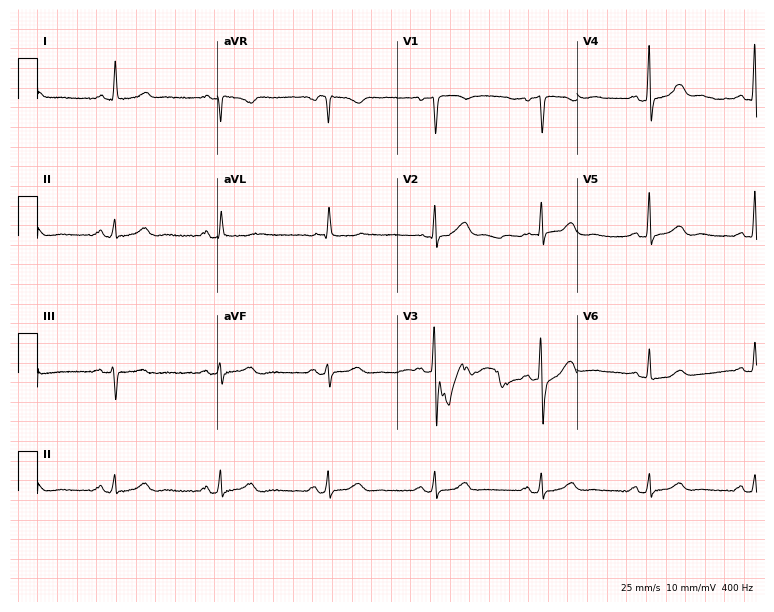
Standard 12-lead ECG recorded from a female, 59 years old (7.3-second recording at 400 Hz). None of these six findings is recorded: first-degree AV block, right bundle branch block, left bundle branch block, sinus bradycardia, atrial fibrillation, sinus tachycardia. Only these six findings were labelled.